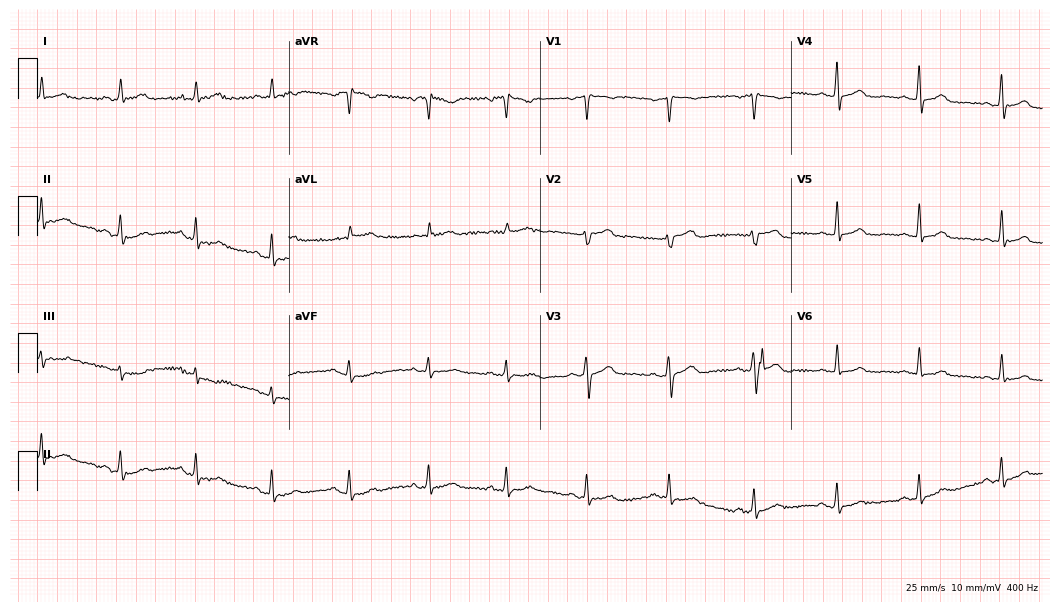
12-lead ECG from a female patient, 60 years old (10.2-second recording at 400 Hz). No first-degree AV block, right bundle branch block, left bundle branch block, sinus bradycardia, atrial fibrillation or sinus tachycardia recorded for this tracing.